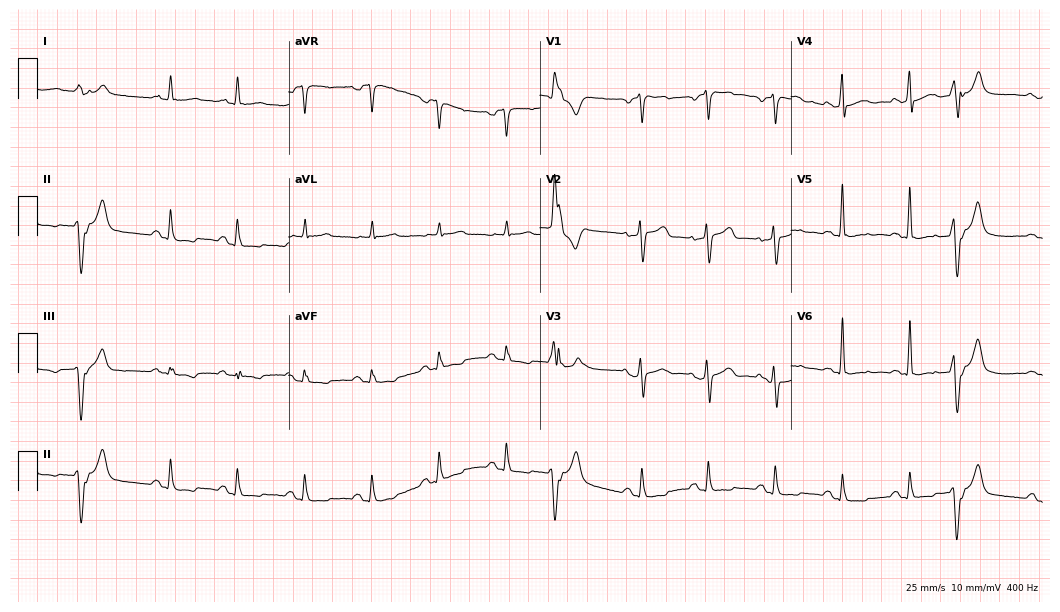
ECG — a male, 70 years old. Screened for six findings — first-degree AV block, right bundle branch block (RBBB), left bundle branch block (LBBB), sinus bradycardia, atrial fibrillation (AF), sinus tachycardia — none is recorded.